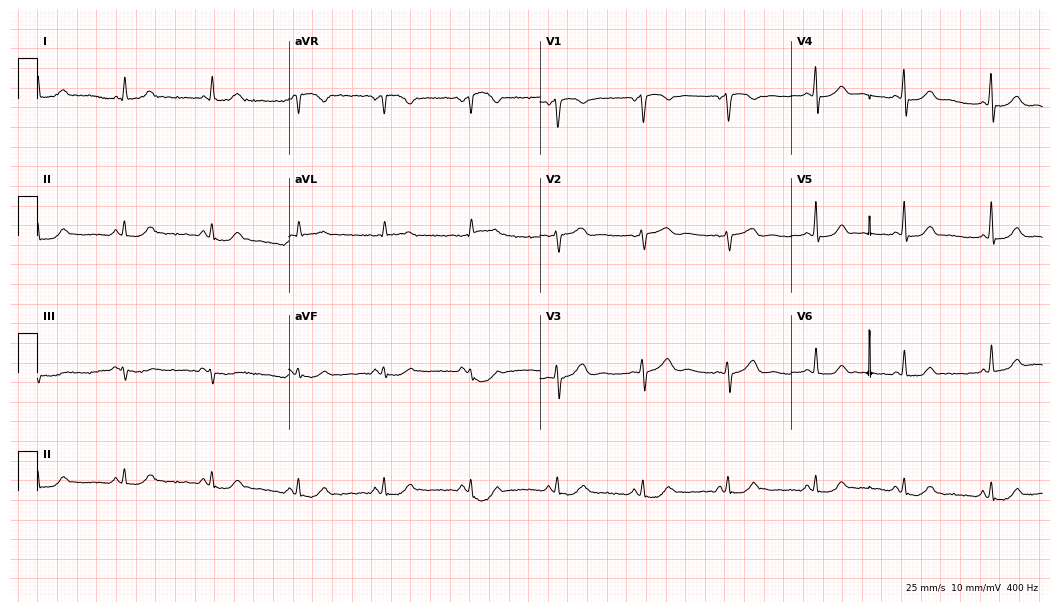
12-lead ECG from a 52-year-old female. Screened for six findings — first-degree AV block, right bundle branch block (RBBB), left bundle branch block (LBBB), sinus bradycardia, atrial fibrillation (AF), sinus tachycardia — none is recorded.